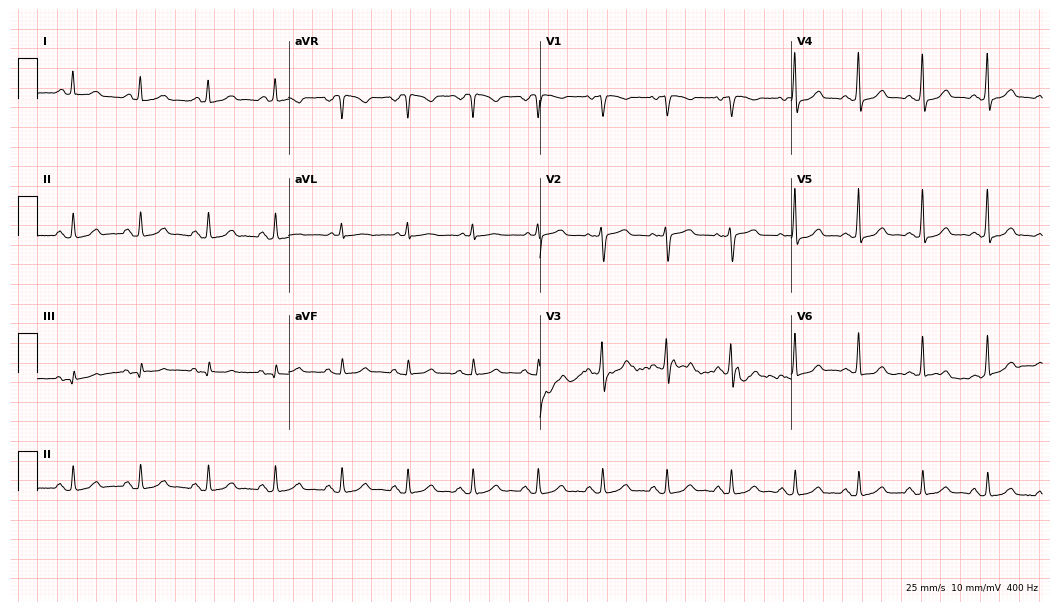
Electrocardiogram (10.2-second recording at 400 Hz), a female patient, 54 years old. Of the six screened findings (first-degree AV block, right bundle branch block (RBBB), left bundle branch block (LBBB), sinus bradycardia, atrial fibrillation (AF), sinus tachycardia), none is recorded.